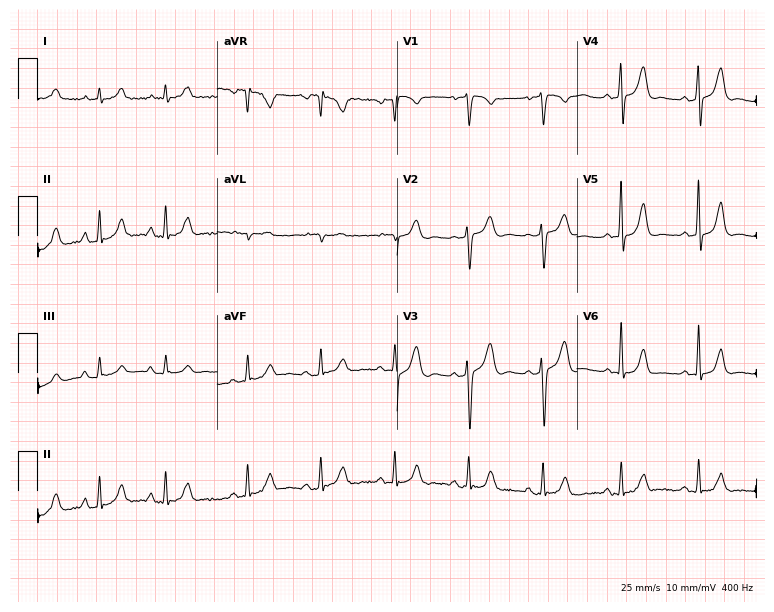
ECG (7.3-second recording at 400 Hz) — a female, 46 years old. Screened for six findings — first-degree AV block, right bundle branch block (RBBB), left bundle branch block (LBBB), sinus bradycardia, atrial fibrillation (AF), sinus tachycardia — none is recorded. Findings outside these six are not listed.